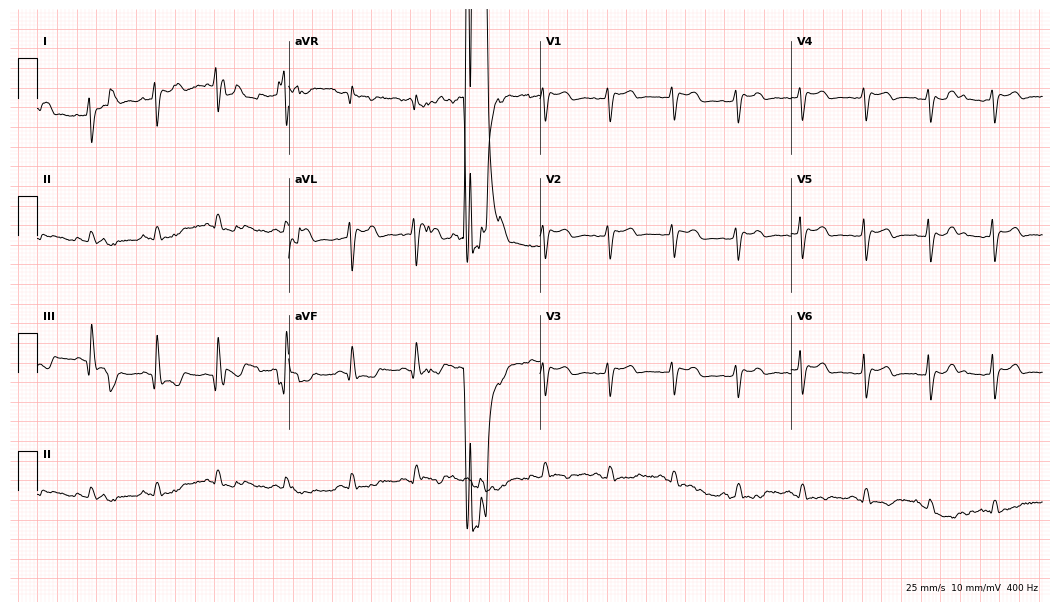
12-lead ECG from a 68-year-old man. No first-degree AV block, right bundle branch block (RBBB), left bundle branch block (LBBB), sinus bradycardia, atrial fibrillation (AF) or sinus tachycardia recorded for this tracing. Findings outside these six are not listed.